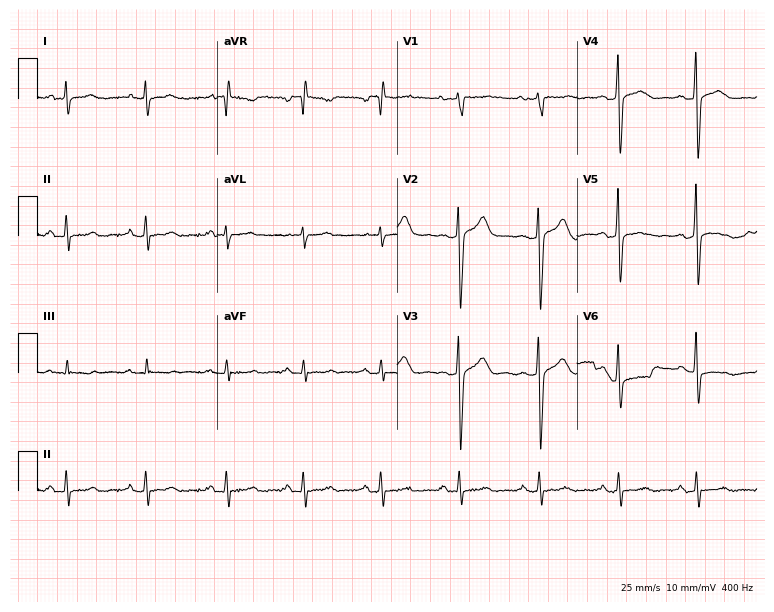
ECG — a 31-year-old male. Screened for six findings — first-degree AV block, right bundle branch block (RBBB), left bundle branch block (LBBB), sinus bradycardia, atrial fibrillation (AF), sinus tachycardia — none is recorded.